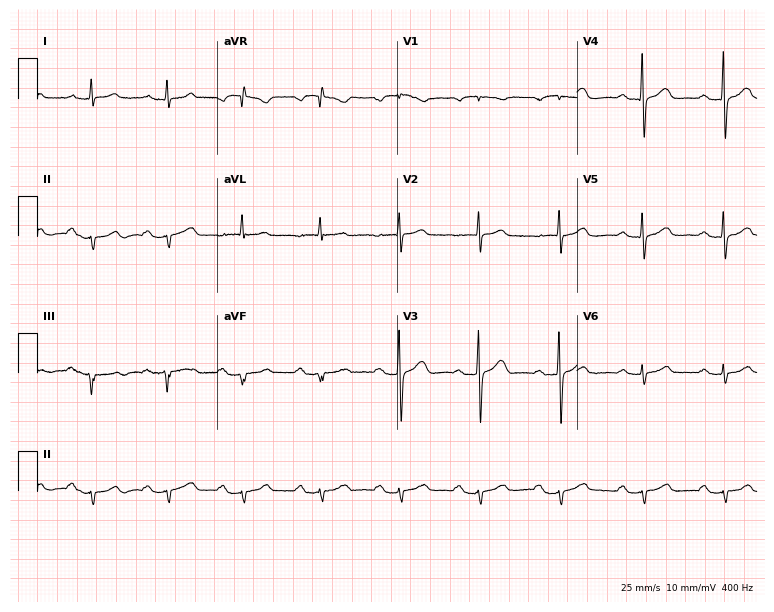
12-lead ECG from a male patient, 74 years old. Shows first-degree AV block.